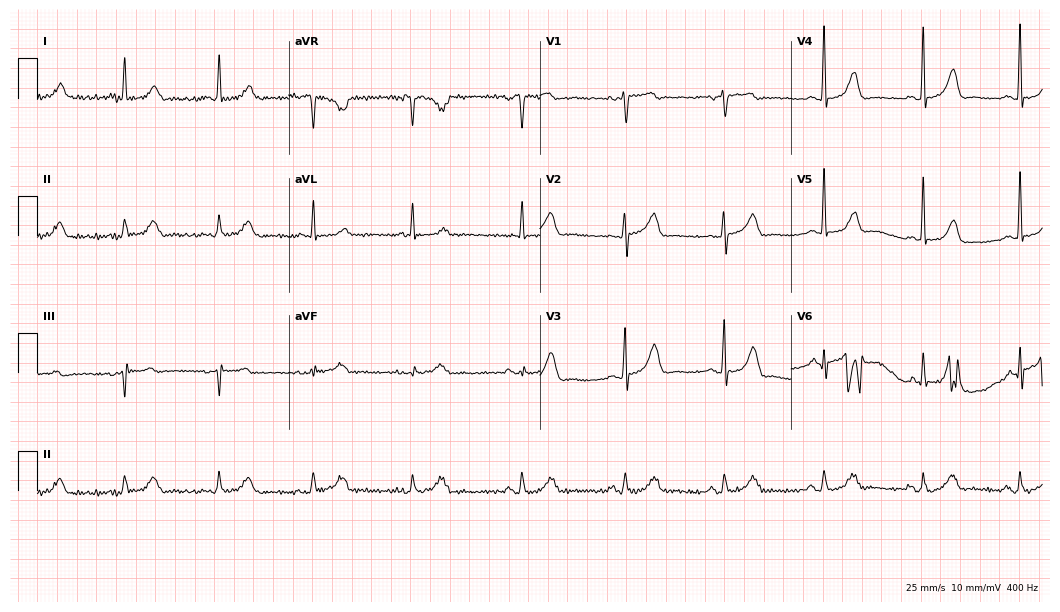
ECG (10.2-second recording at 400 Hz) — a female patient, 71 years old. Labelled as a normal ECG.